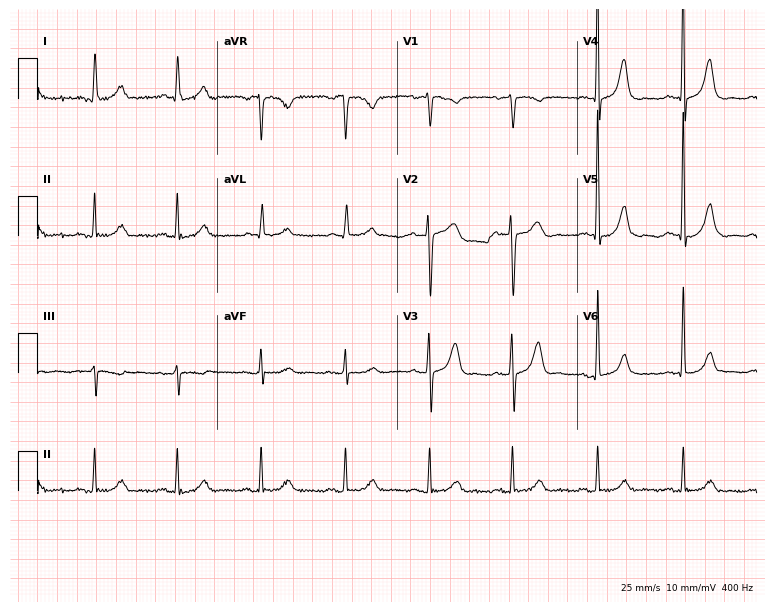
Resting 12-lead electrocardiogram (7.3-second recording at 400 Hz). Patient: a woman, 74 years old. Read as a normal ECG.